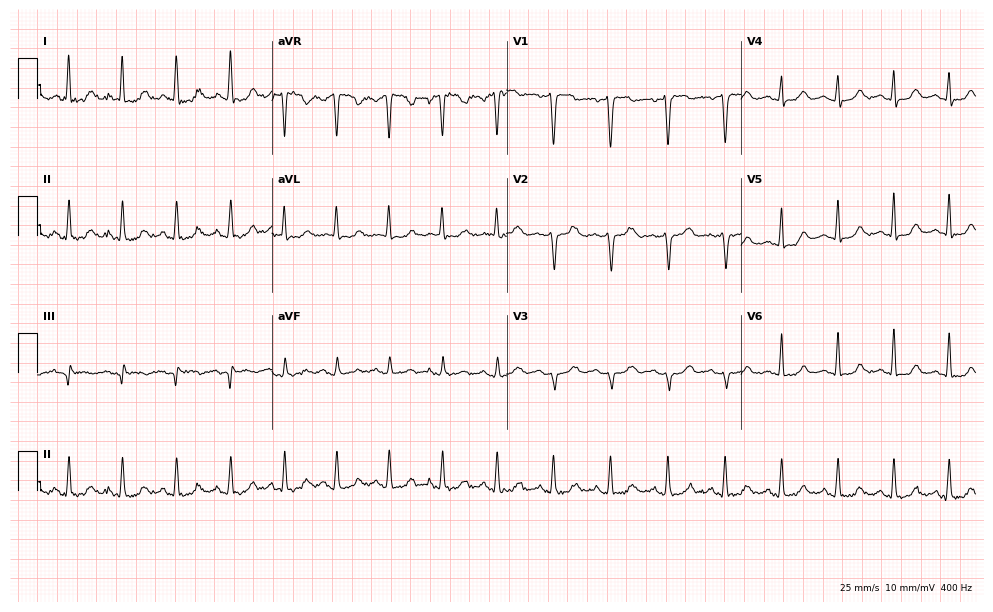
Resting 12-lead electrocardiogram (9.6-second recording at 400 Hz). Patient: a female, 36 years old. The tracing shows sinus tachycardia (a sinus rate of 100 beats per minute or more).